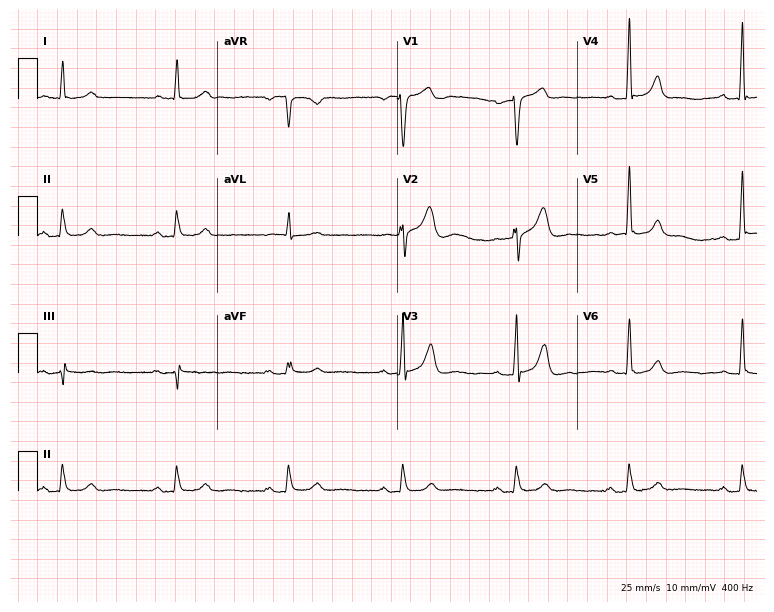
ECG — an 82-year-old male. Labelled as a normal ECG.